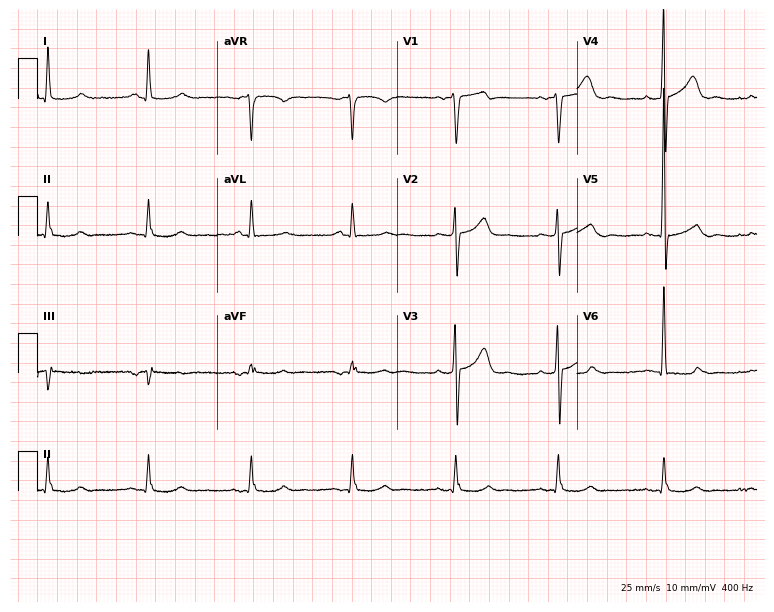
ECG — a male patient, 62 years old. Screened for six findings — first-degree AV block, right bundle branch block, left bundle branch block, sinus bradycardia, atrial fibrillation, sinus tachycardia — none is recorded. Findings outside these six are not listed.